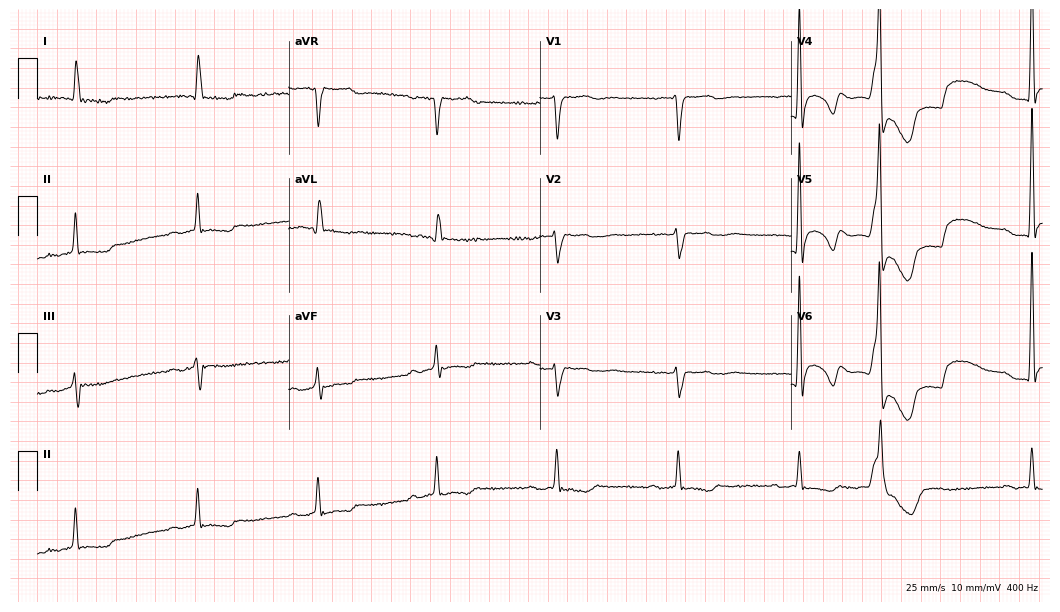
12-lead ECG from a 77-year-old female. Shows first-degree AV block, right bundle branch block, sinus bradycardia (a sinus rate of 50 beats per minute or less).